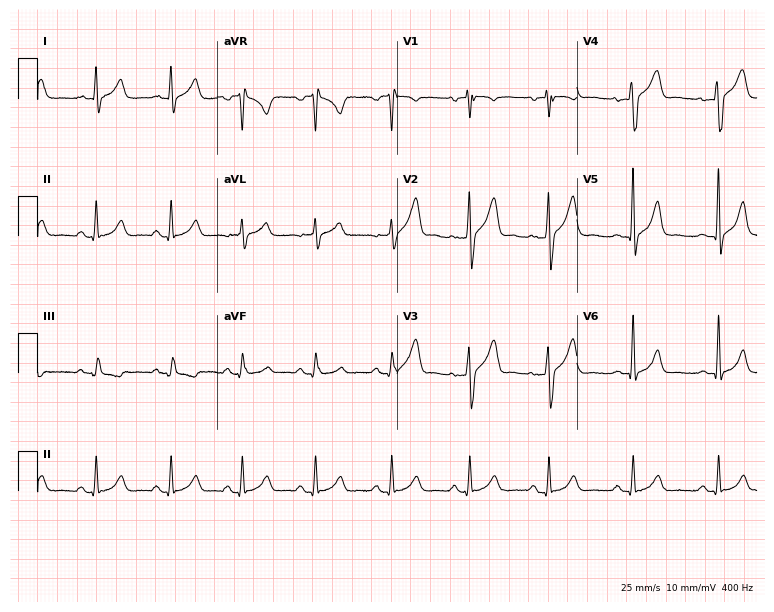
ECG — a male, 35 years old. Labelled as a normal ECG.